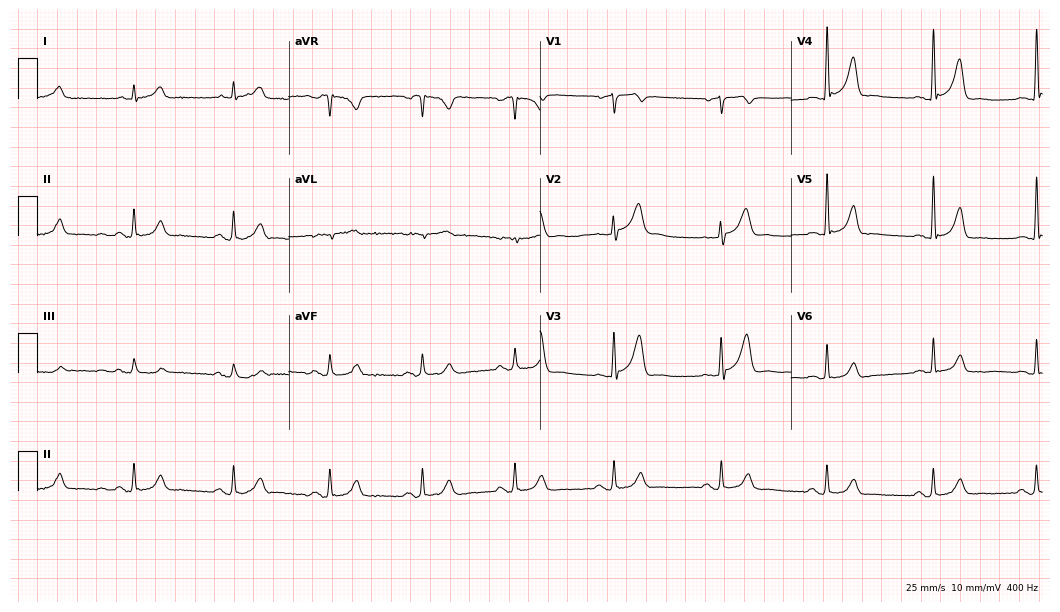
12-lead ECG from a male patient, 68 years old (10.2-second recording at 400 Hz). Recorded interpretation: within normal limits.